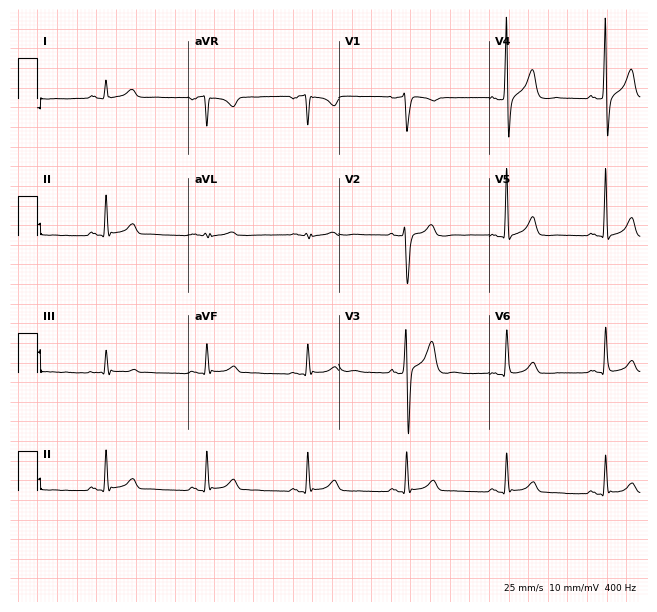
Resting 12-lead electrocardiogram (6.1-second recording at 400 Hz). Patient: a man, 40 years old. None of these six findings is recorded: first-degree AV block, right bundle branch block, left bundle branch block, sinus bradycardia, atrial fibrillation, sinus tachycardia. Only these six findings were labelled.